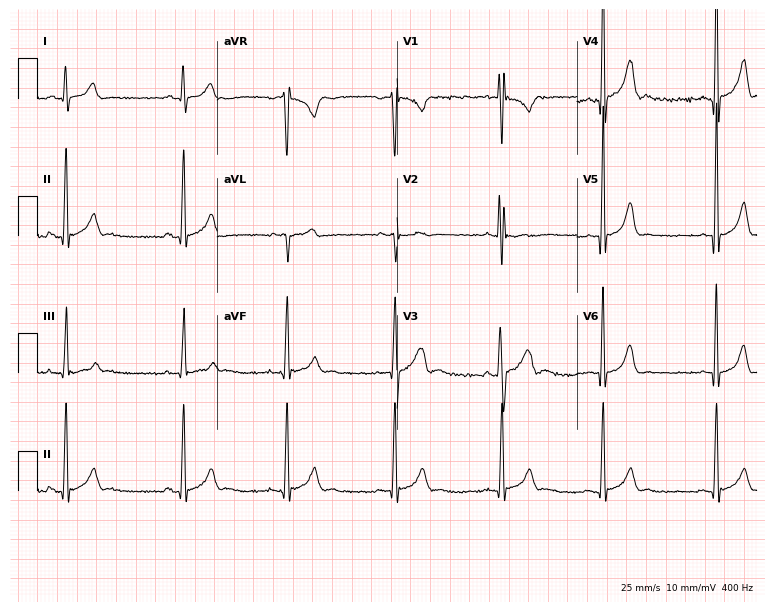
12-lead ECG from a male, 17 years old. No first-degree AV block, right bundle branch block, left bundle branch block, sinus bradycardia, atrial fibrillation or sinus tachycardia recorded for this tracing. Other findings, if any, are not listed.